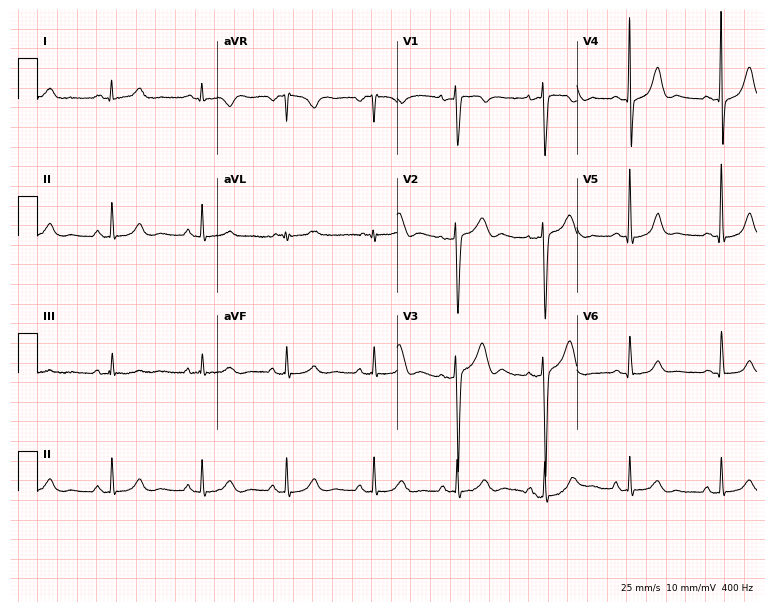
Resting 12-lead electrocardiogram (7.3-second recording at 400 Hz). Patient: a 37-year-old male. Read as a normal ECG.